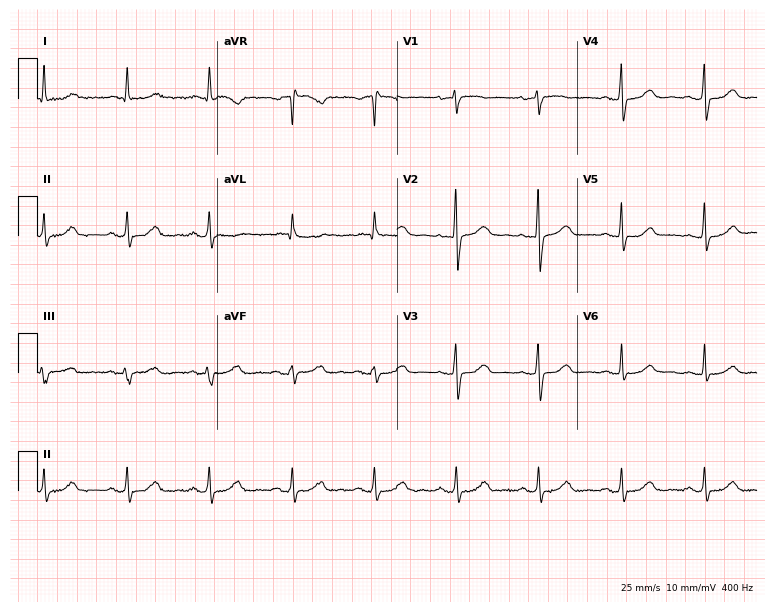
Electrocardiogram (7.3-second recording at 400 Hz), a 65-year-old female. Overall reading on record: normal ECG.